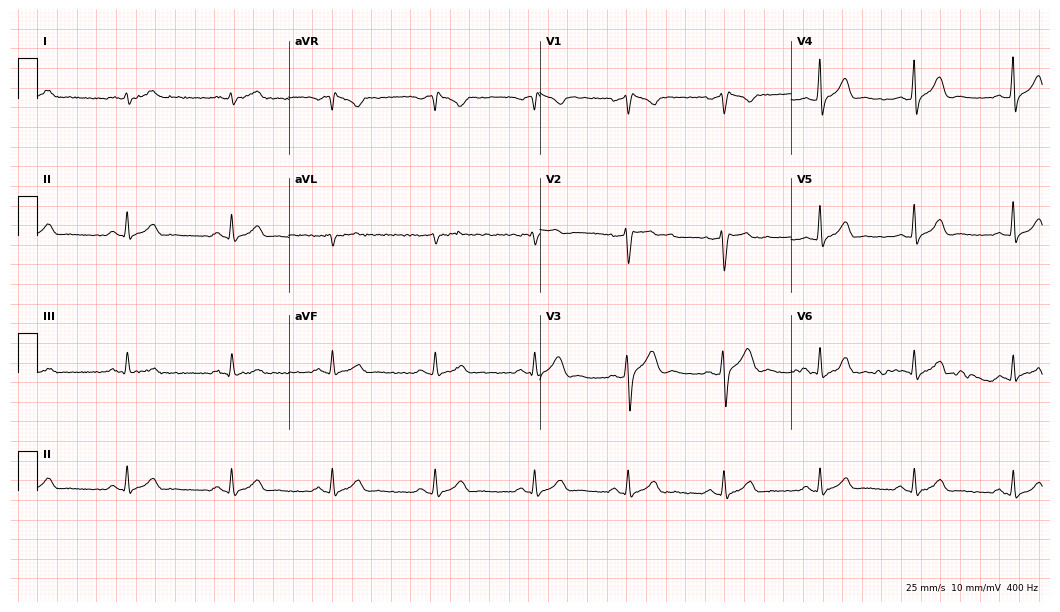
Electrocardiogram (10.2-second recording at 400 Hz), a 38-year-old man. Overall reading on record: normal ECG.